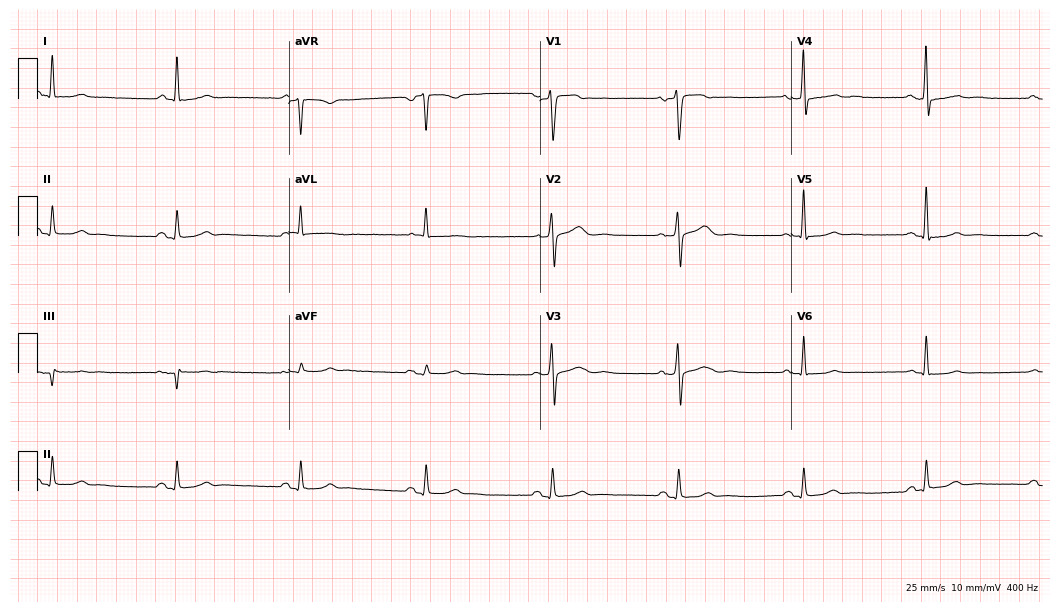
Standard 12-lead ECG recorded from a female patient, 64 years old. The tracing shows sinus bradycardia (a sinus rate of 50 beats per minute or less).